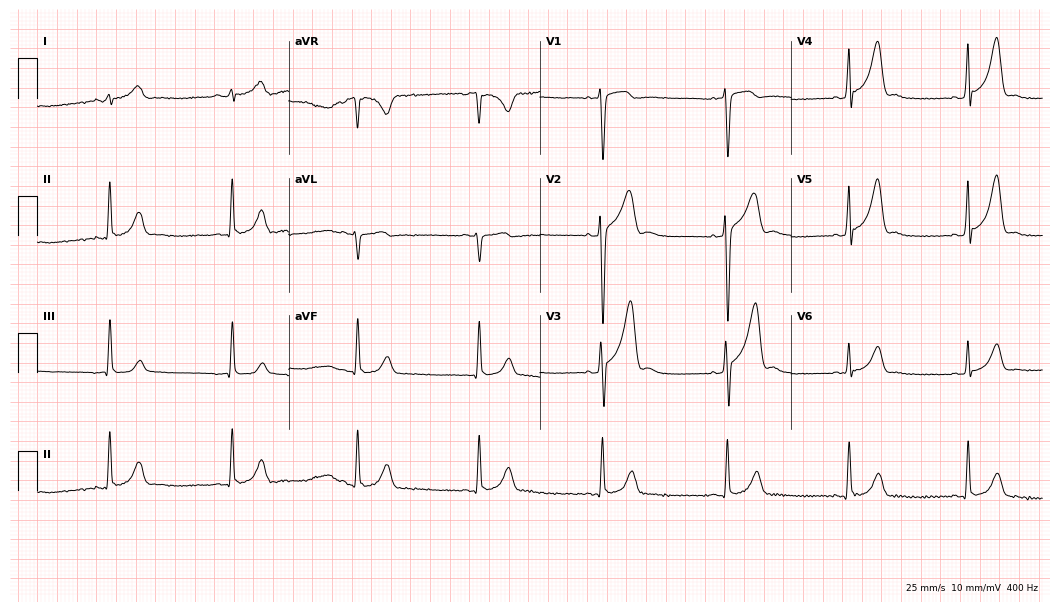
Resting 12-lead electrocardiogram. Patient: a 28-year-old male. None of these six findings is recorded: first-degree AV block, right bundle branch block (RBBB), left bundle branch block (LBBB), sinus bradycardia, atrial fibrillation (AF), sinus tachycardia. Only these six findings were labelled.